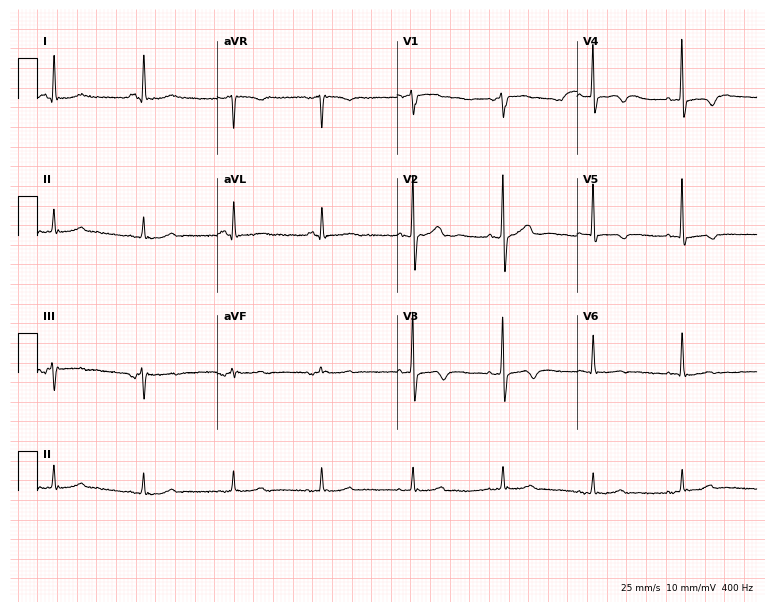
ECG (7.3-second recording at 400 Hz) — a 61-year-old man. Screened for six findings — first-degree AV block, right bundle branch block, left bundle branch block, sinus bradycardia, atrial fibrillation, sinus tachycardia — none is recorded. Other findings, if any, are not listed.